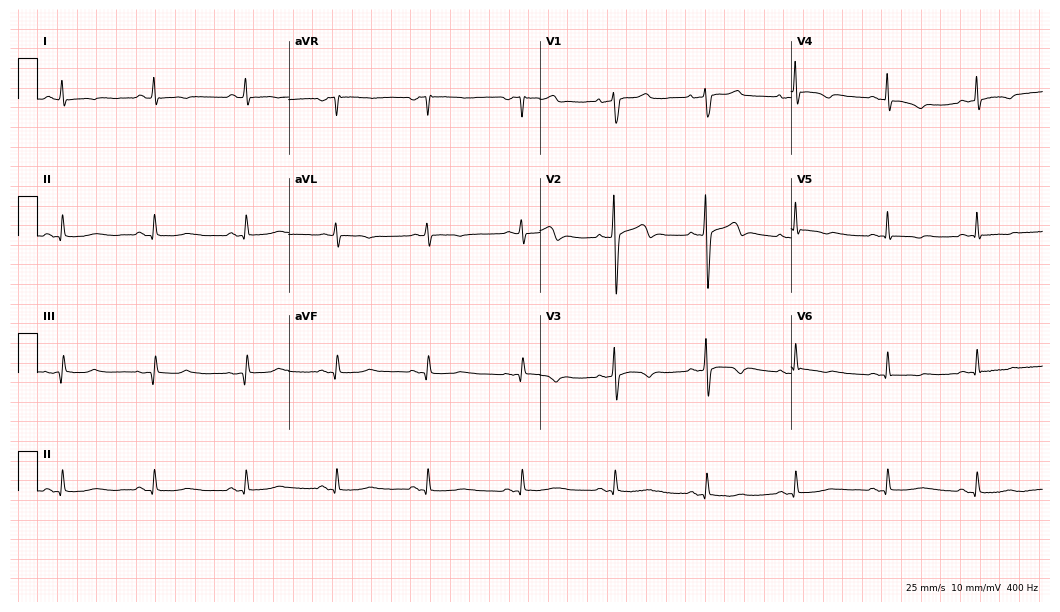
12-lead ECG from a 59-year-old male. Screened for six findings — first-degree AV block, right bundle branch block, left bundle branch block, sinus bradycardia, atrial fibrillation, sinus tachycardia — none is recorded. Other findings, if any, are not listed.